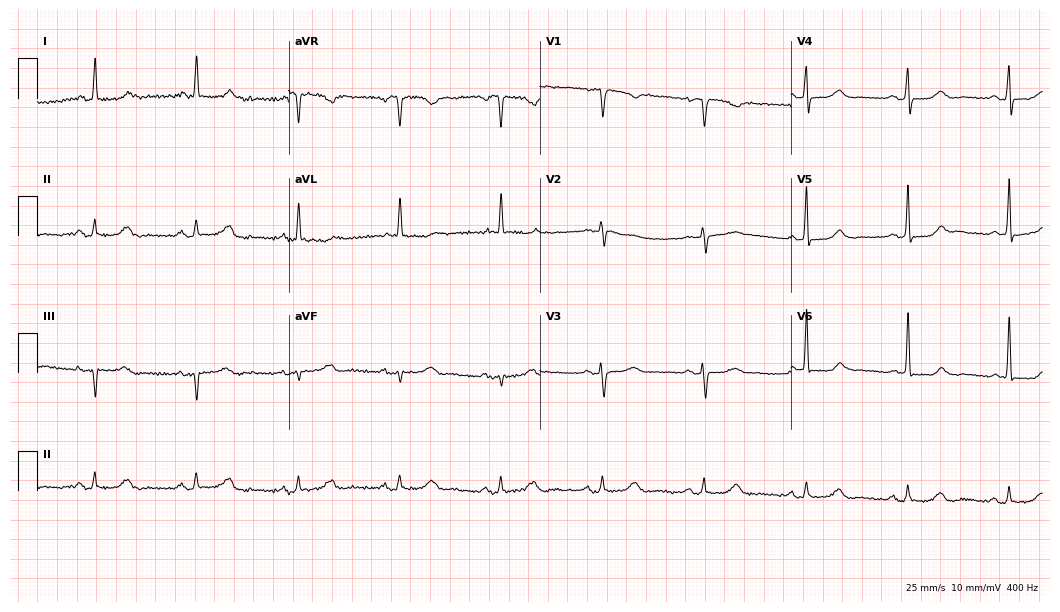
Standard 12-lead ECG recorded from a female patient, 66 years old (10.2-second recording at 400 Hz). Read as a normal ECG.